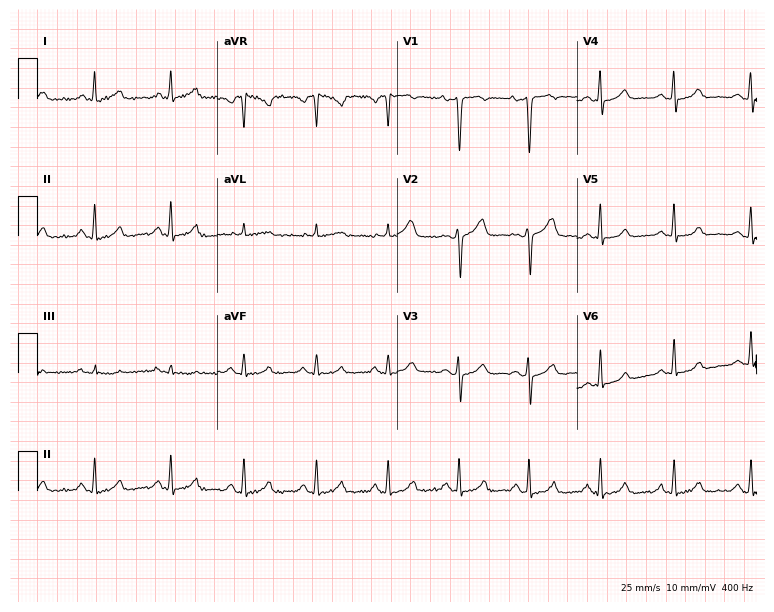
Standard 12-lead ECG recorded from a 39-year-old female patient (7.3-second recording at 400 Hz). None of these six findings is recorded: first-degree AV block, right bundle branch block, left bundle branch block, sinus bradycardia, atrial fibrillation, sinus tachycardia.